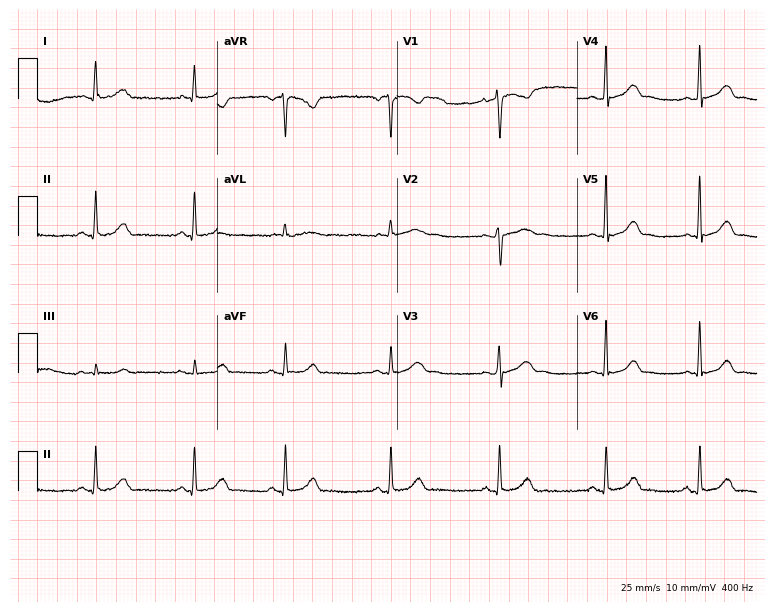
12-lead ECG from a 34-year-old female patient. Screened for six findings — first-degree AV block, right bundle branch block, left bundle branch block, sinus bradycardia, atrial fibrillation, sinus tachycardia — none is recorded. Findings outside these six are not listed.